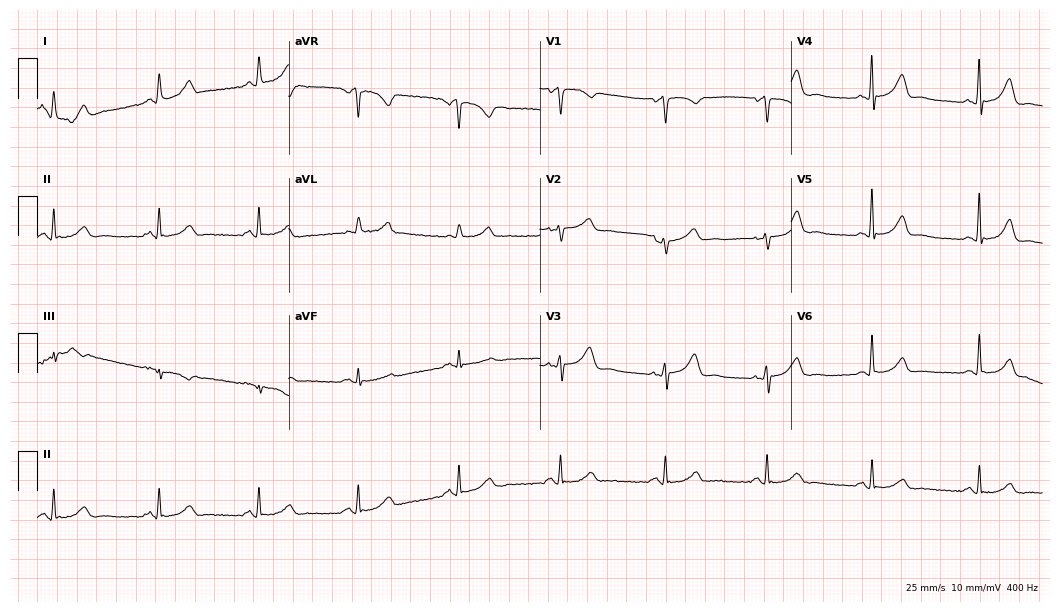
12-lead ECG from a 56-year-old female patient (10.2-second recording at 400 Hz). Recorded interpretation: within normal limits.